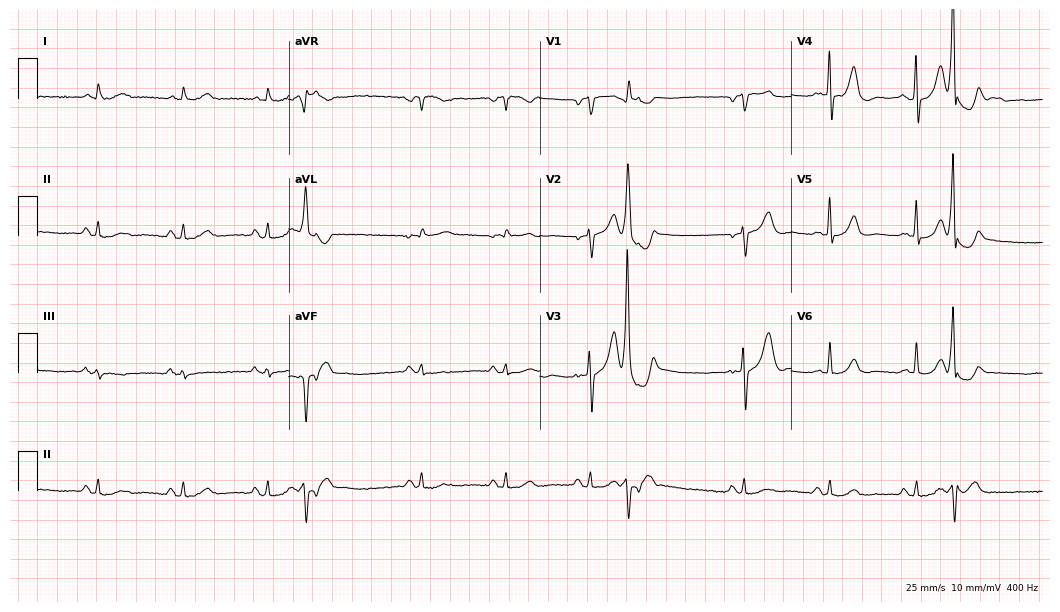
12-lead ECG (10.2-second recording at 400 Hz) from a 77-year-old male patient. Labelled as a normal ECG.